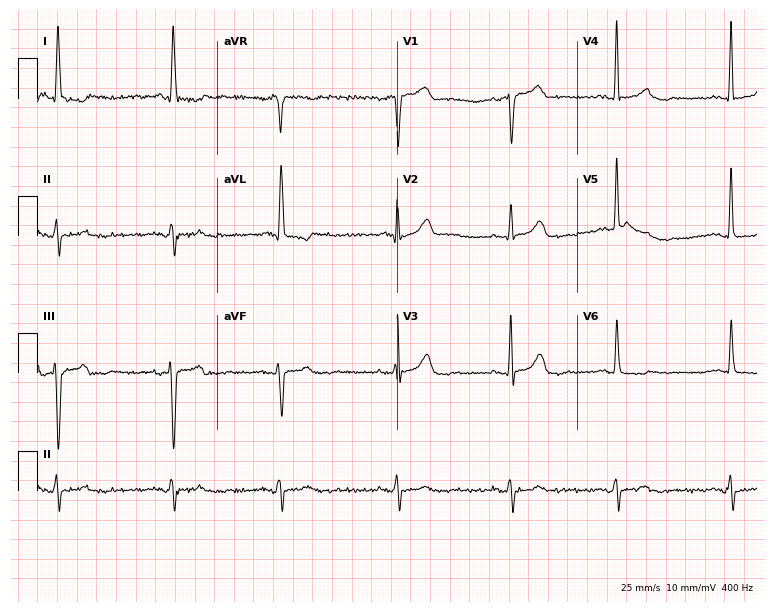
Resting 12-lead electrocardiogram (7.3-second recording at 400 Hz). Patient: a 73-year-old female. None of these six findings is recorded: first-degree AV block, right bundle branch block, left bundle branch block, sinus bradycardia, atrial fibrillation, sinus tachycardia.